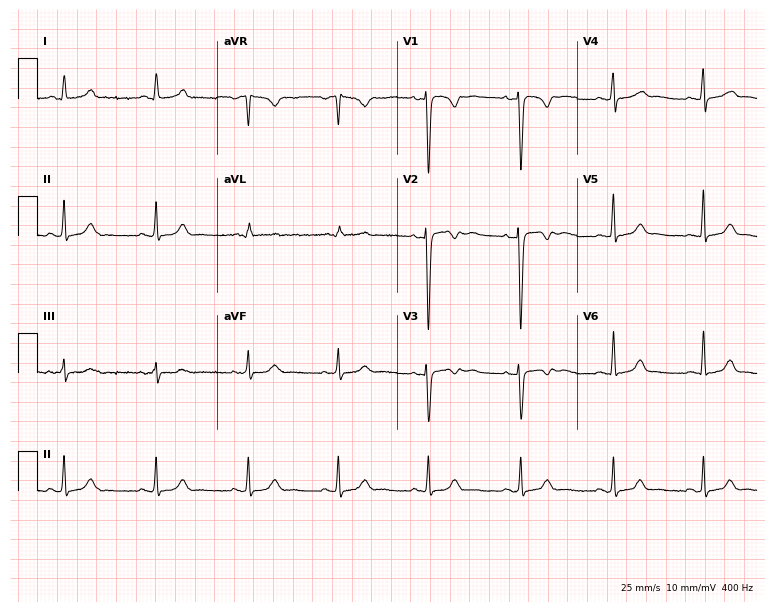
Resting 12-lead electrocardiogram. Patient: a 27-year-old female. Read as a normal ECG.